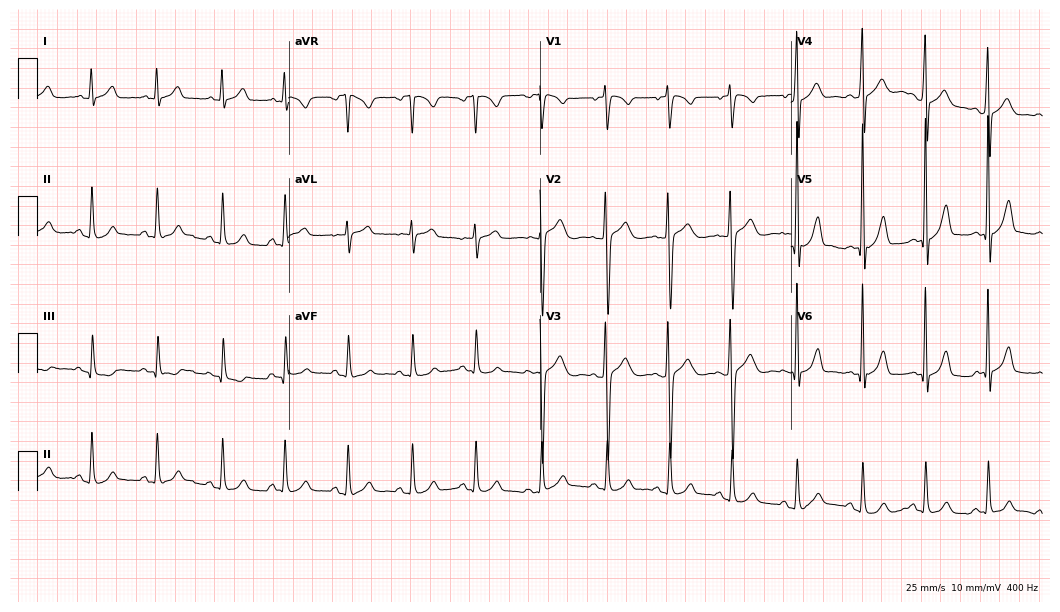
12-lead ECG (10.2-second recording at 400 Hz) from a male patient, 17 years old. Labelled as a normal ECG.